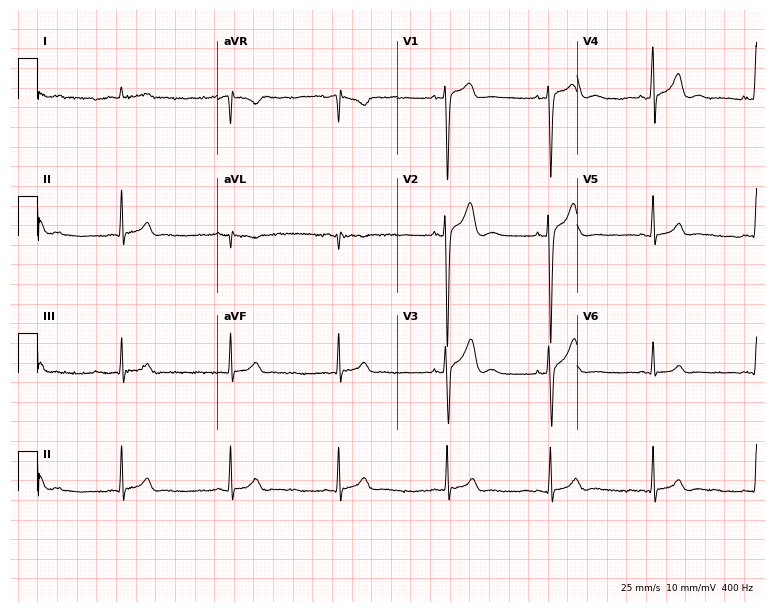
12-lead ECG from a female, 20 years old (7.3-second recording at 400 Hz). Recorded interpretation: within normal limits.